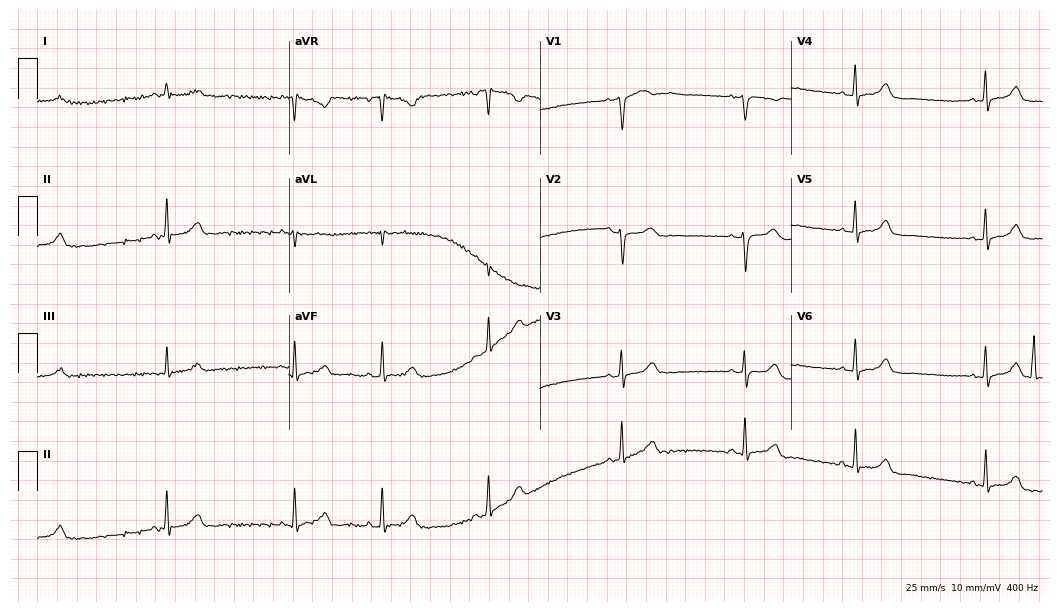
Standard 12-lead ECG recorded from a 42-year-old female. The tracing shows sinus bradycardia (a sinus rate of 50 beats per minute or less).